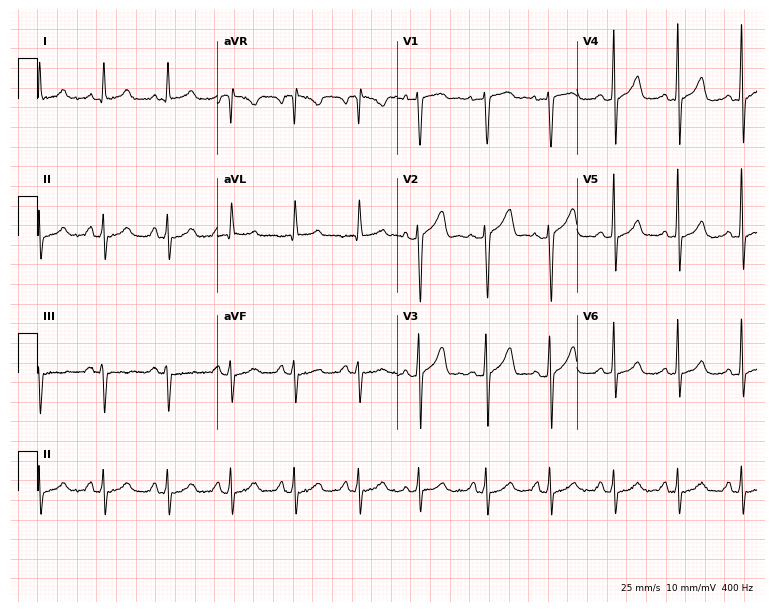
12-lead ECG from a 41-year-old female. Recorded interpretation: within normal limits.